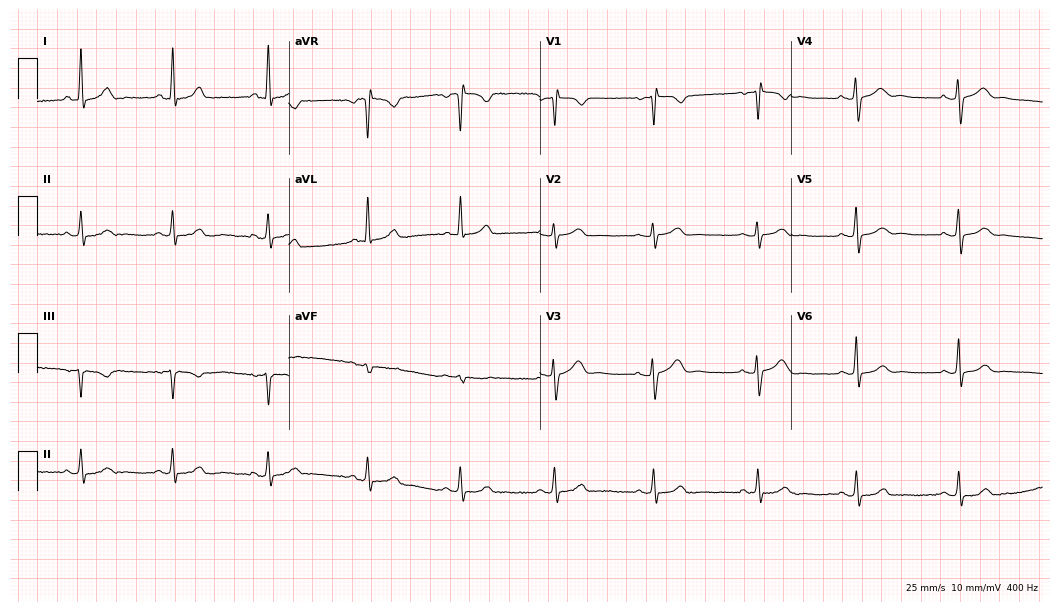
ECG (10.2-second recording at 400 Hz) — a 50-year-old female. Labelled as a normal ECG.